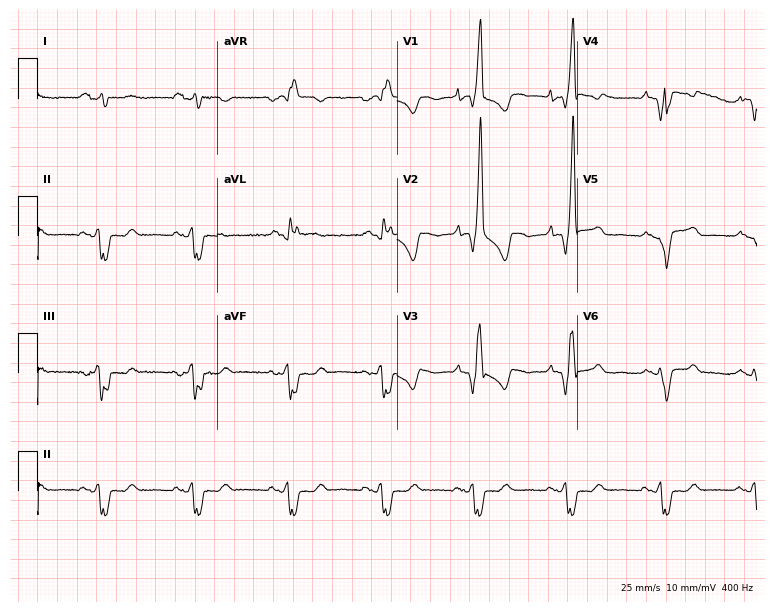
12-lead ECG from a man, 49 years old. Shows right bundle branch block.